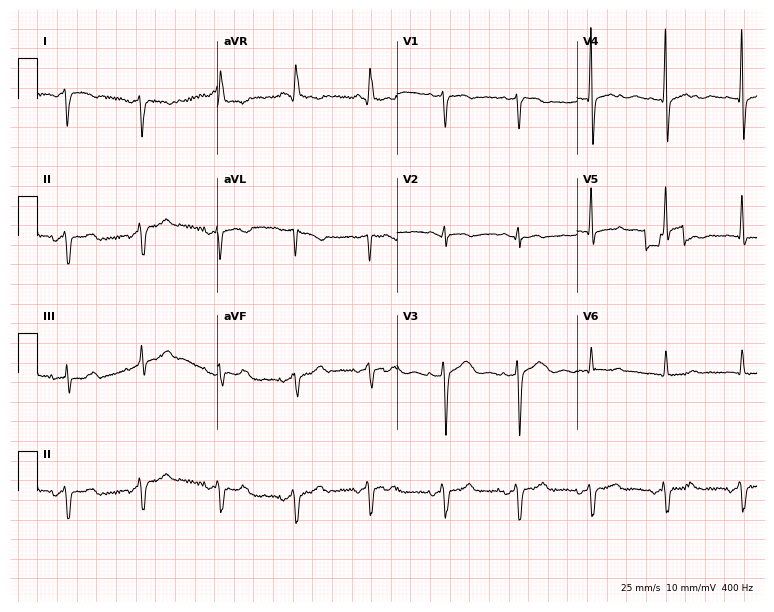
12-lead ECG from a female, 71 years old. No first-degree AV block, right bundle branch block, left bundle branch block, sinus bradycardia, atrial fibrillation or sinus tachycardia recorded for this tracing.